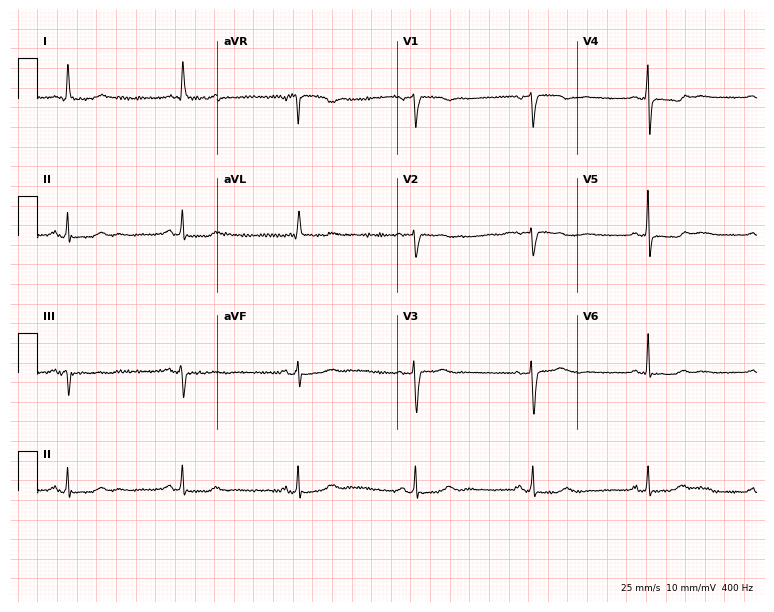
Standard 12-lead ECG recorded from a 67-year-old female patient. None of these six findings is recorded: first-degree AV block, right bundle branch block (RBBB), left bundle branch block (LBBB), sinus bradycardia, atrial fibrillation (AF), sinus tachycardia.